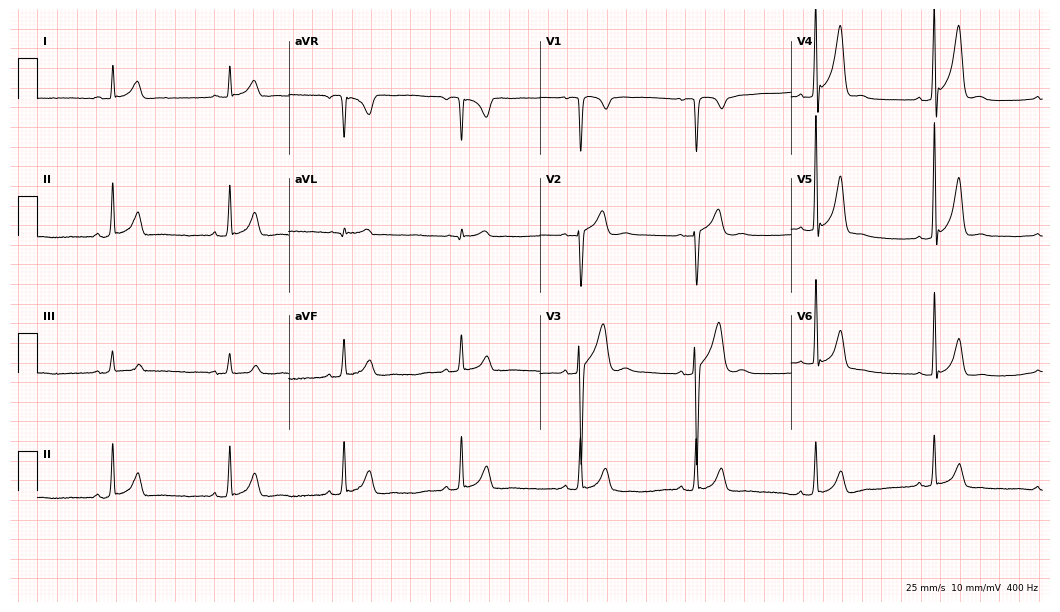
Resting 12-lead electrocardiogram. Patient: a 37-year-old male. None of these six findings is recorded: first-degree AV block, right bundle branch block (RBBB), left bundle branch block (LBBB), sinus bradycardia, atrial fibrillation (AF), sinus tachycardia.